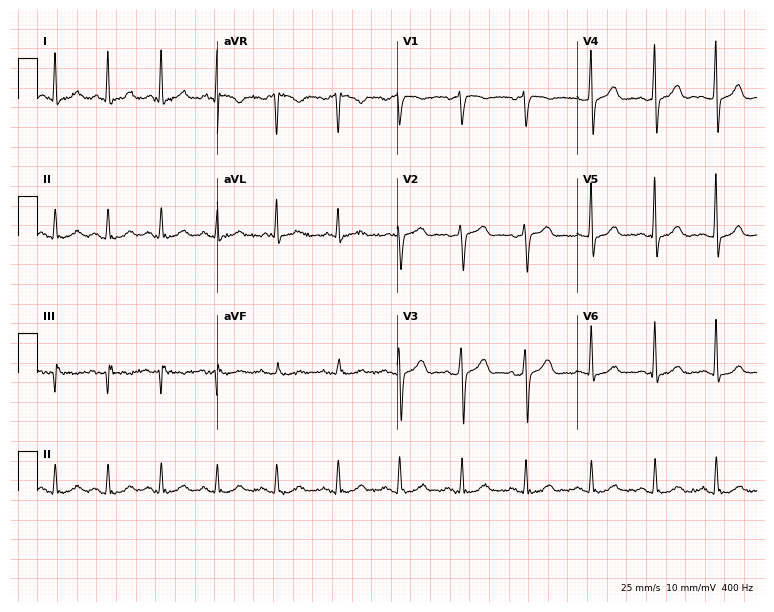
ECG (7.3-second recording at 400 Hz) — a 56-year-old female. Labelled as a normal ECG.